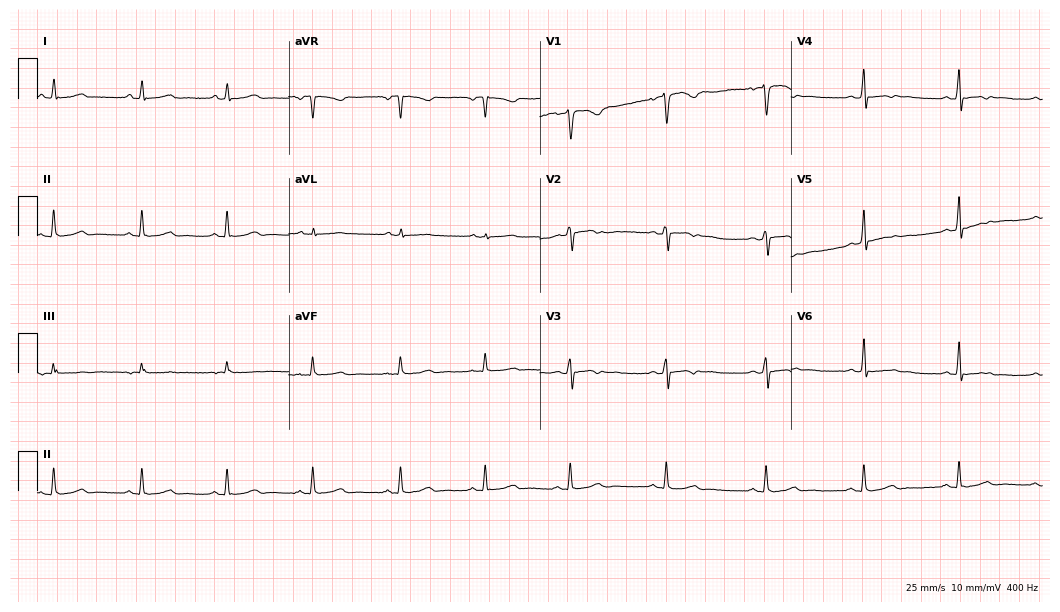
Electrocardiogram, a 28-year-old female patient. Of the six screened findings (first-degree AV block, right bundle branch block (RBBB), left bundle branch block (LBBB), sinus bradycardia, atrial fibrillation (AF), sinus tachycardia), none is recorded. Findings outside these six are not listed.